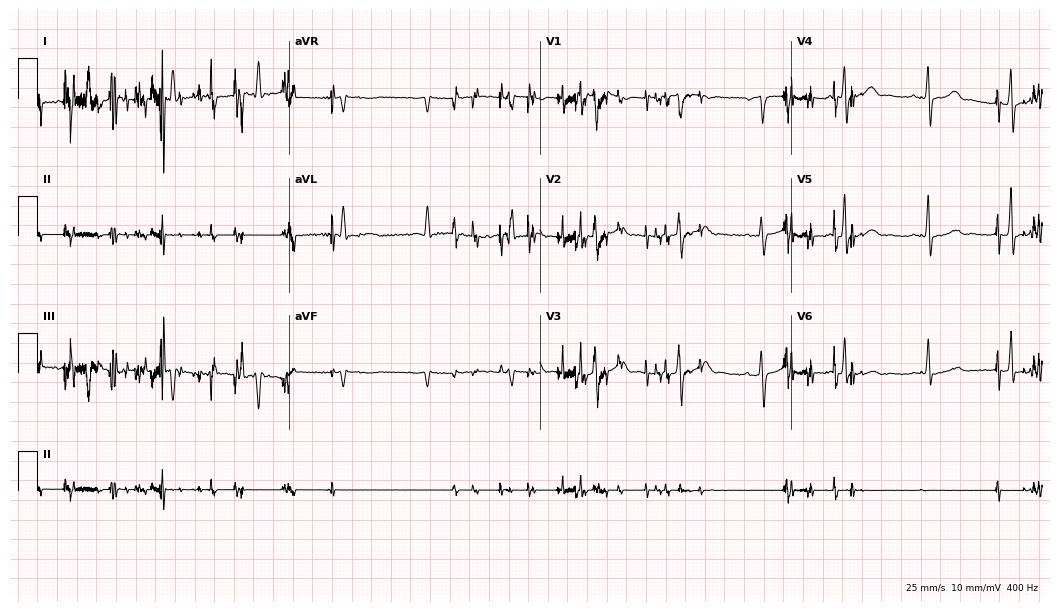
Standard 12-lead ECG recorded from a male patient, 68 years old (10.2-second recording at 400 Hz). None of these six findings is recorded: first-degree AV block, right bundle branch block, left bundle branch block, sinus bradycardia, atrial fibrillation, sinus tachycardia. Only these six findings were labelled.